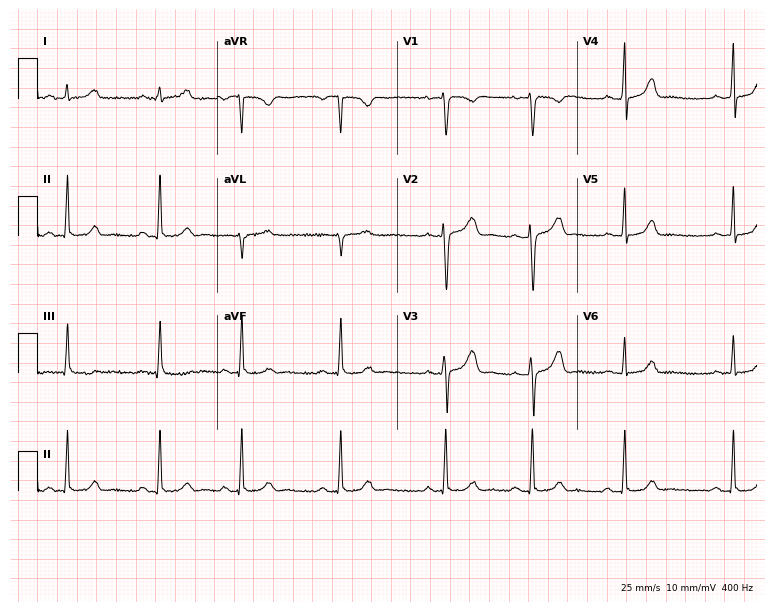
Electrocardiogram, a 20-year-old woman. Overall reading on record: normal ECG.